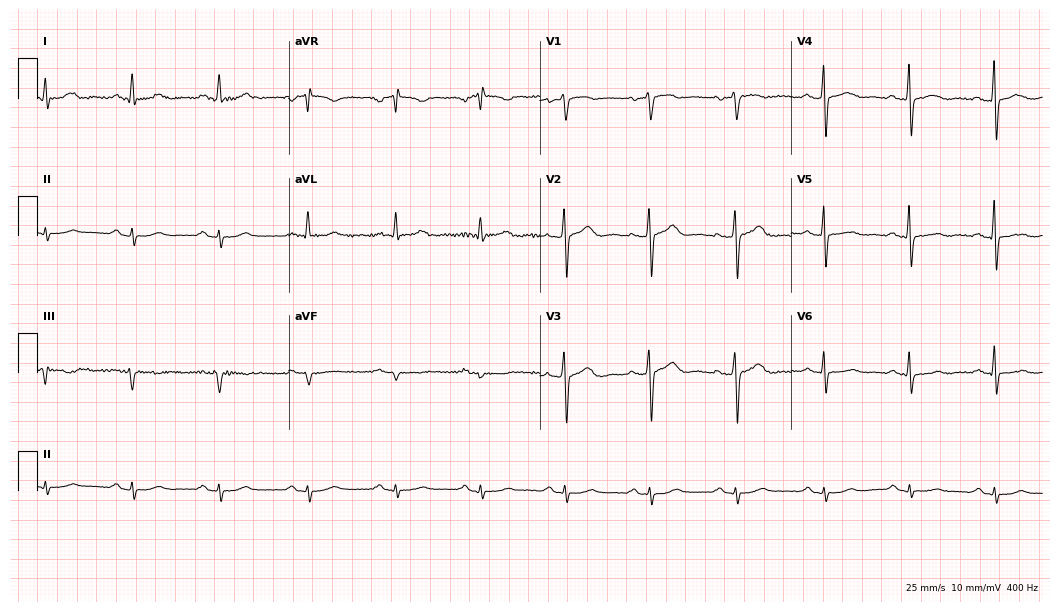
12-lead ECG from a 57-year-old male. No first-degree AV block, right bundle branch block, left bundle branch block, sinus bradycardia, atrial fibrillation or sinus tachycardia recorded for this tracing.